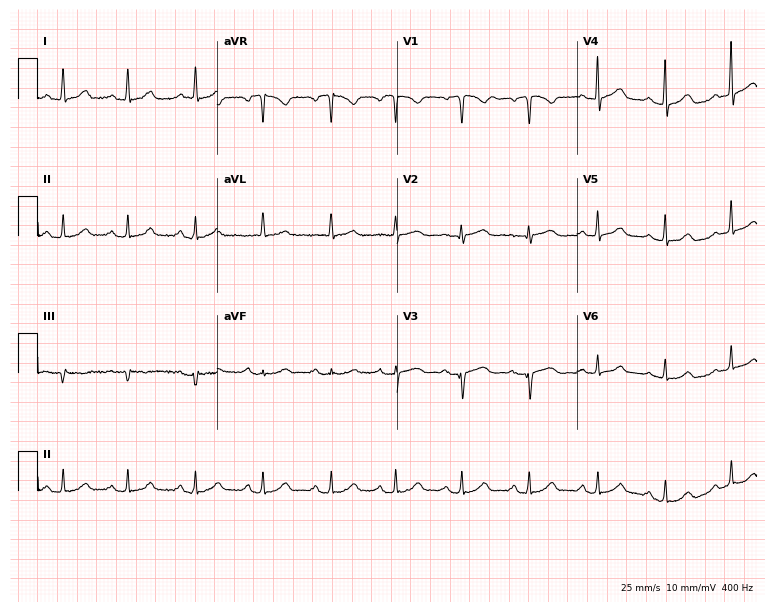
12-lead ECG (7.3-second recording at 400 Hz) from a 49-year-old woman. Labelled as a normal ECG.